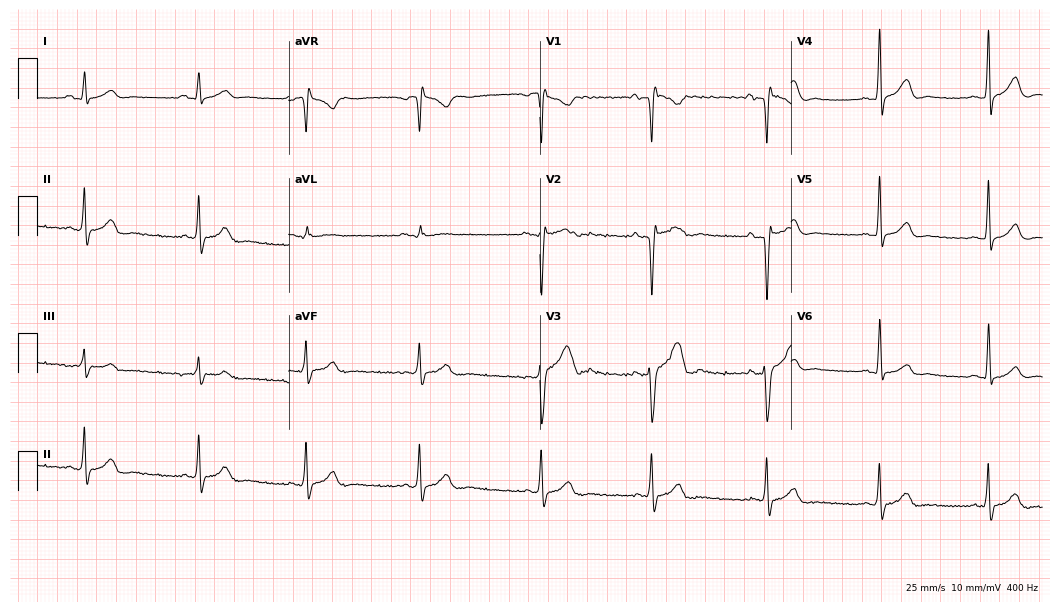
Electrocardiogram (10.2-second recording at 400 Hz), an 18-year-old male. Of the six screened findings (first-degree AV block, right bundle branch block, left bundle branch block, sinus bradycardia, atrial fibrillation, sinus tachycardia), none is recorded.